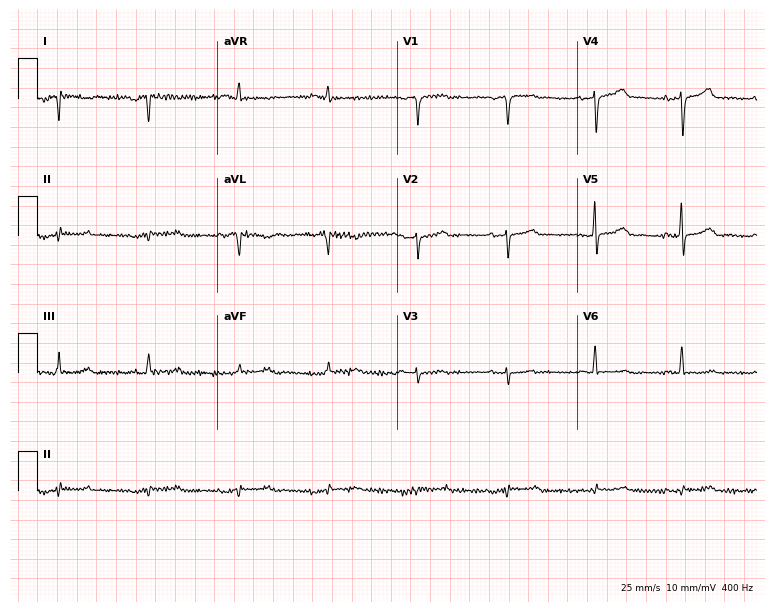
Resting 12-lead electrocardiogram (7.3-second recording at 400 Hz). Patient: a 52-year-old female. None of these six findings is recorded: first-degree AV block, right bundle branch block, left bundle branch block, sinus bradycardia, atrial fibrillation, sinus tachycardia. Other findings, if any, are not listed.